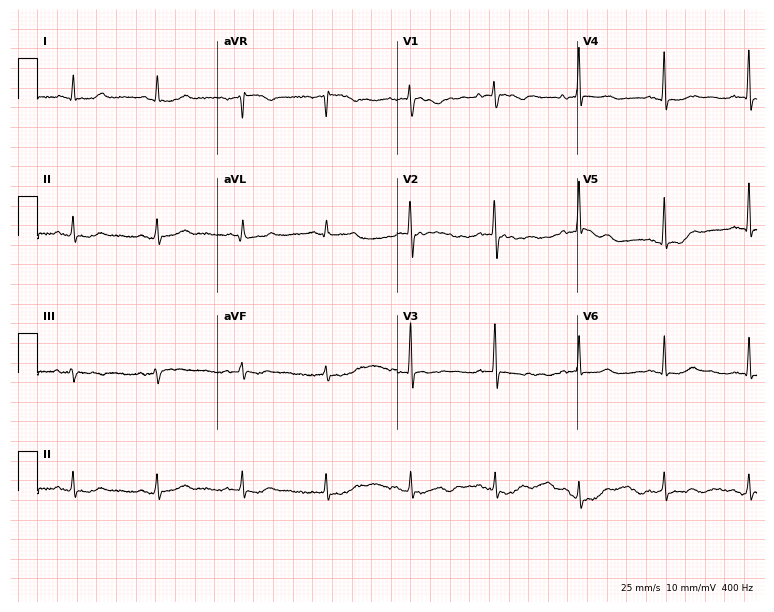
Resting 12-lead electrocardiogram. Patient: a female, 82 years old. None of these six findings is recorded: first-degree AV block, right bundle branch block (RBBB), left bundle branch block (LBBB), sinus bradycardia, atrial fibrillation (AF), sinus tachycardia.